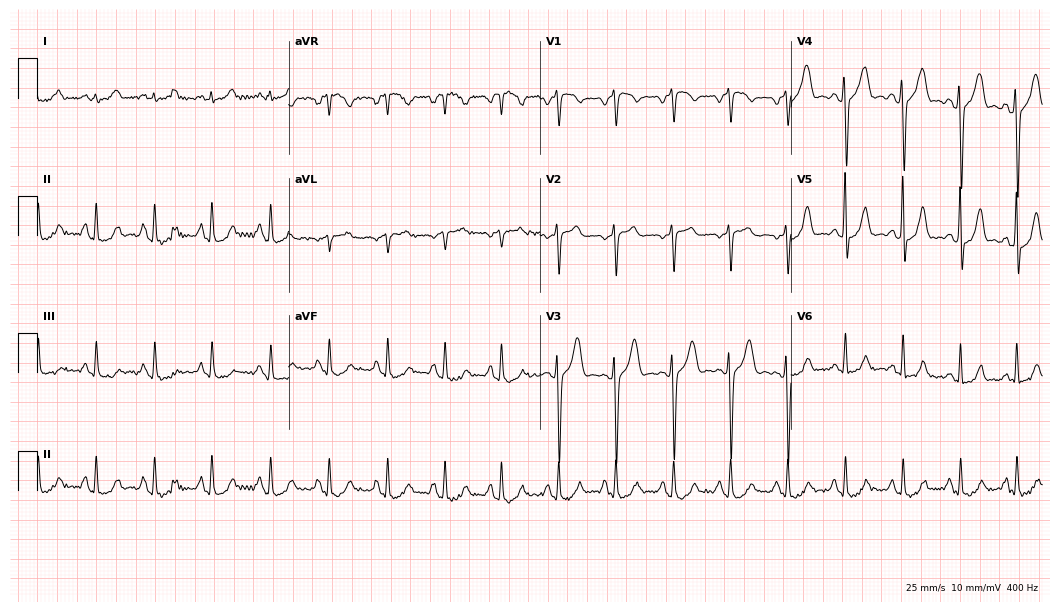
12-lead ECG from a 51-year-old male. No first-degree AV block, right bundle branch block (RBBB), left bundle branch block (LBBB), sinus bradycardia, atrial fibrillation (AF) or sinus tachycardia recorded for this tracing. Findings outside these six are not listed.